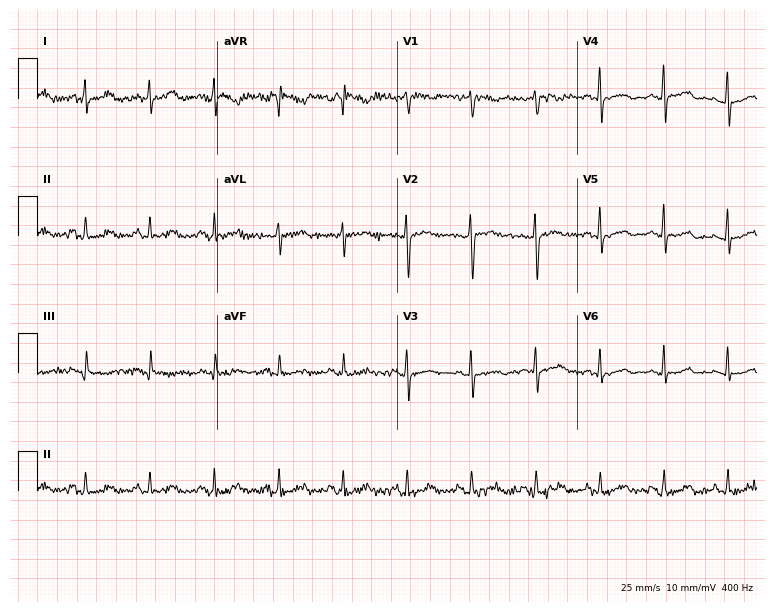
Resting 12-lead electrocardiogram (7.3-second recording at 400 Hz). Patient: a 61-year-old female. None of these six findings is recorded: first-degree AV block, right bundle branch block, left bundle branch block, sinus bradycardia, atrial fibrillation, sinus tachycardia.